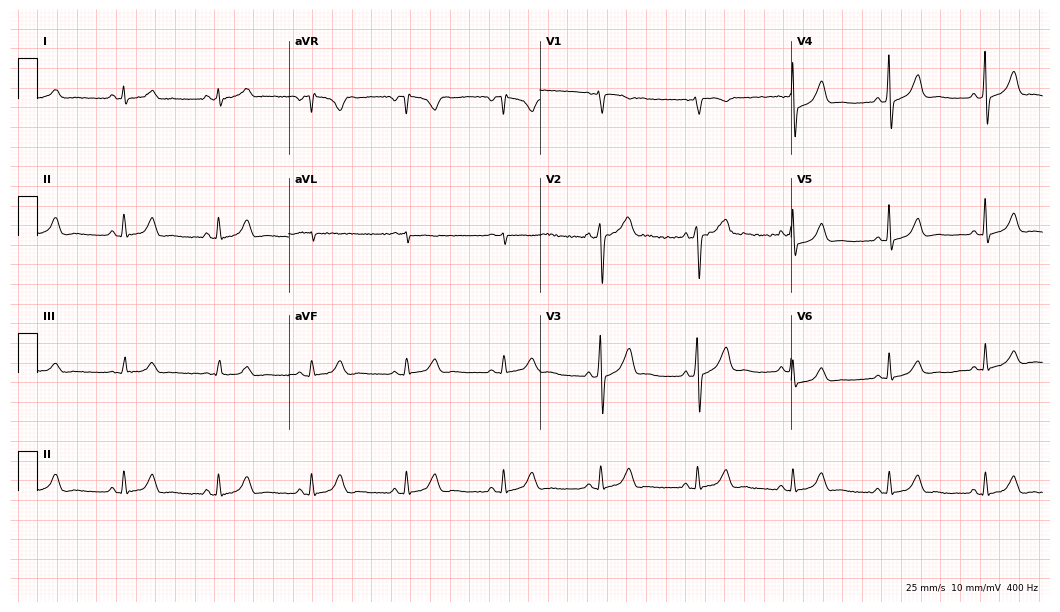
12-lead ECG from a 55-year-old male. Recorded interpretation: within normal limits.